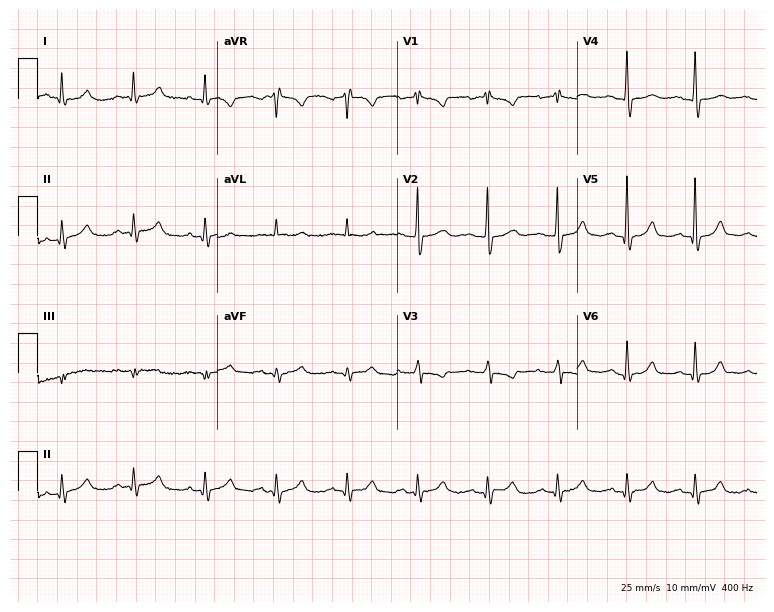
12-lead ECG (7.3-second recording at 400 Hz) from a 77-year-old woman. Labelled as a normal ECG.